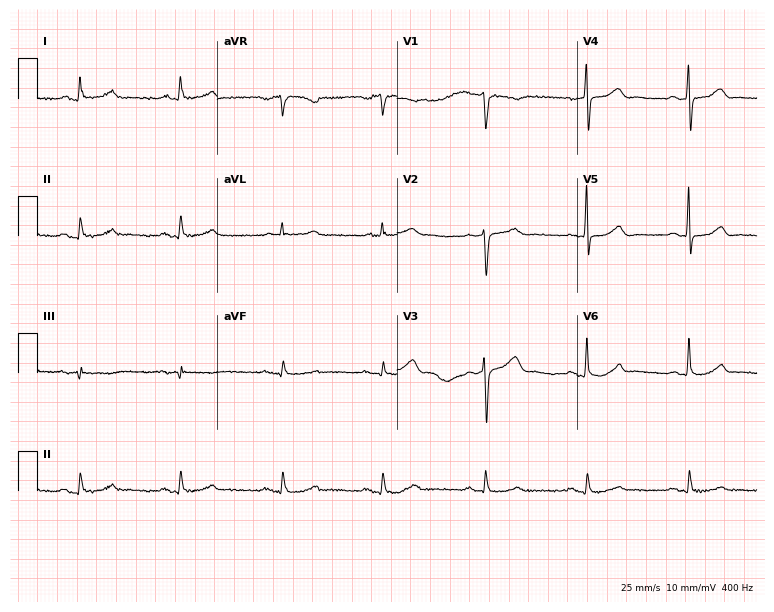
ECG (7.3-second recording at 400 Hz) — a male, 56 years old. Labelled as a normal ECG.